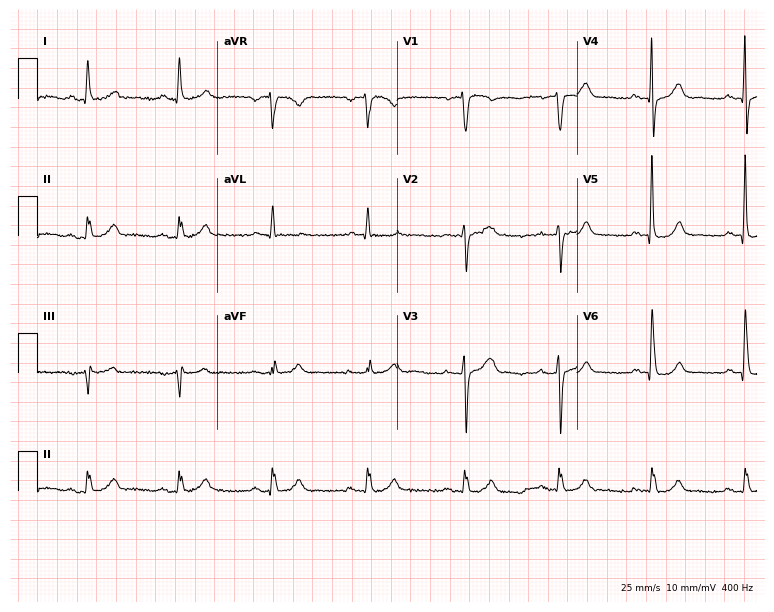
ECG — a 70-year-old male. Screened for six findings — first-degree AV block, right bundle branch block, left bundle branch block, sinus bradycardia, atrial fibrillation, sinus tachycardia — none is recorded.